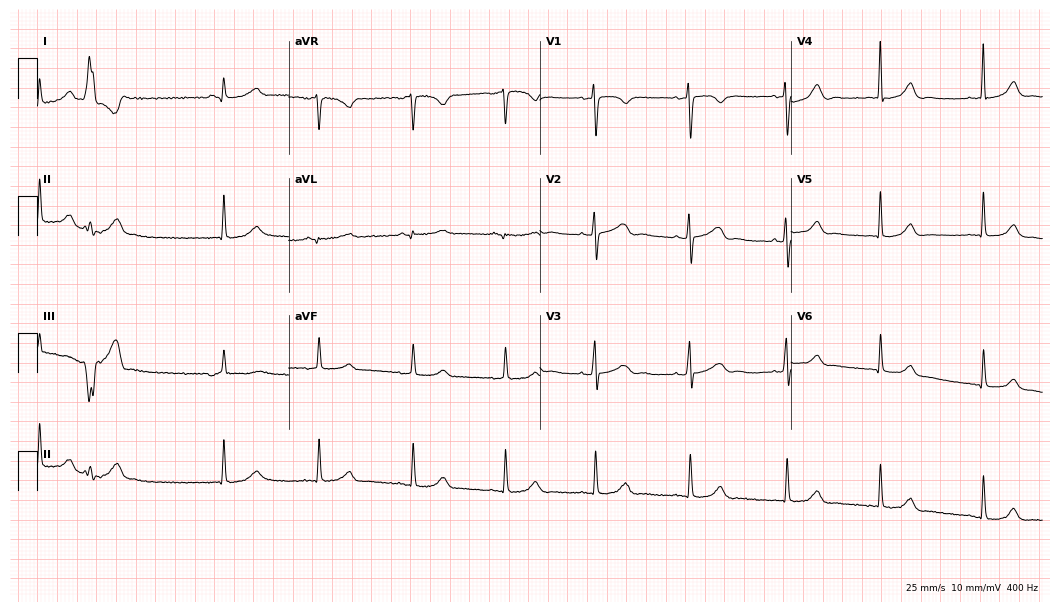
12-lead ECG from a 44-year-old woman. Screened for six findings — first-degree AV block, right bundle branch block, left bundle branch block, sinus bradycardia, atrial fibrillation, sinus tachycardia — none is recorded. Only these six findings were labelled.